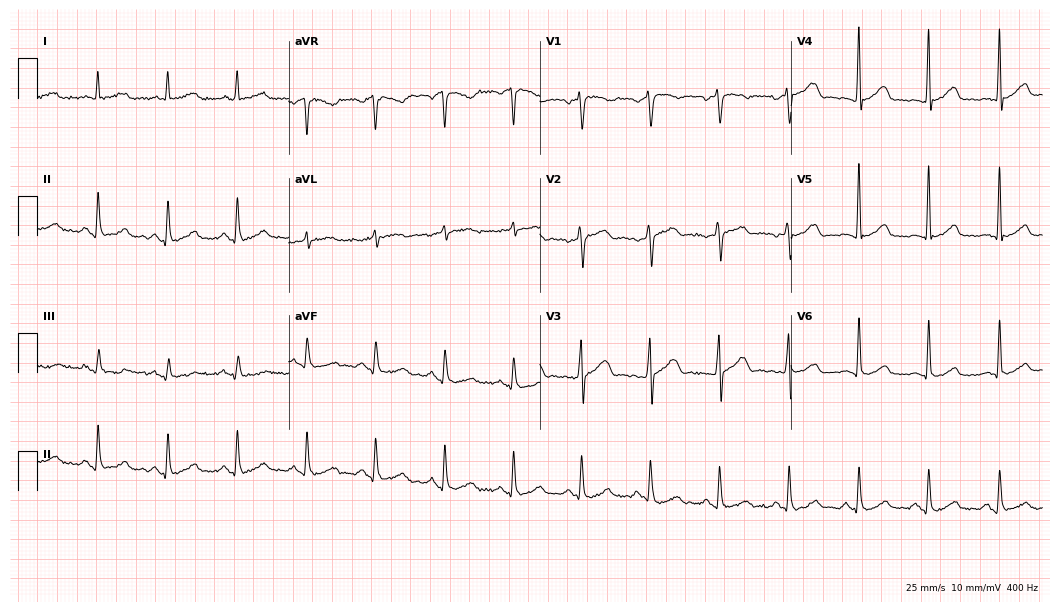
Resting 12-lead electrocardiogram. Patient: a male, 55 years old. None of these six findings is recorded: first-degree AV block, right bundle branch block, left bundle branch block, sinus bradycardia, atrial fibrillation, sinus tachycardia.